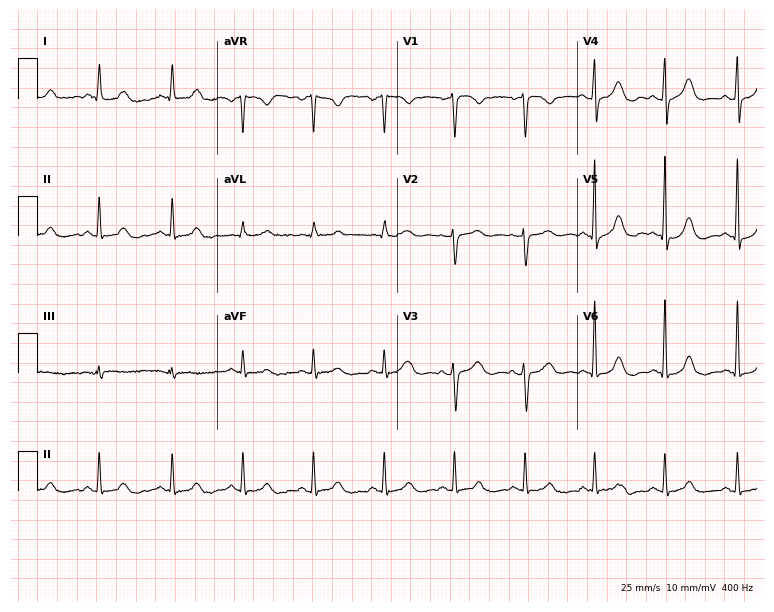
12-lead ECG from a 58-year-old woman. Labelled as a normal ECG.